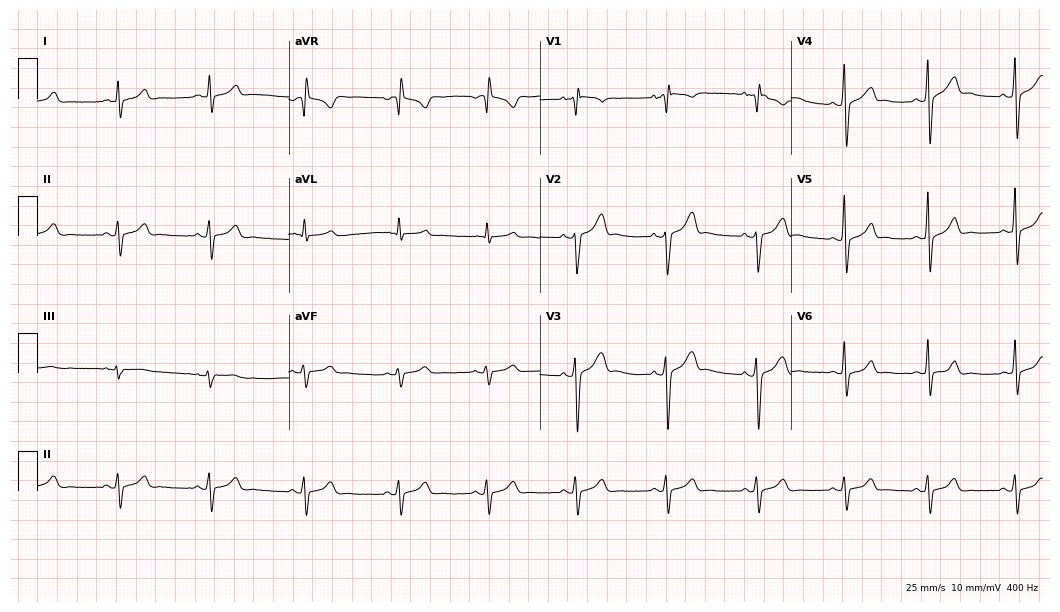
12-lead ECG from a 28-year-old man. Screened for six findings — first-degree AV block, right bundle branch block, left bundle branch block, sinus bradycardia, atrial fibrillation, sinus tachycardia — none is recorded.